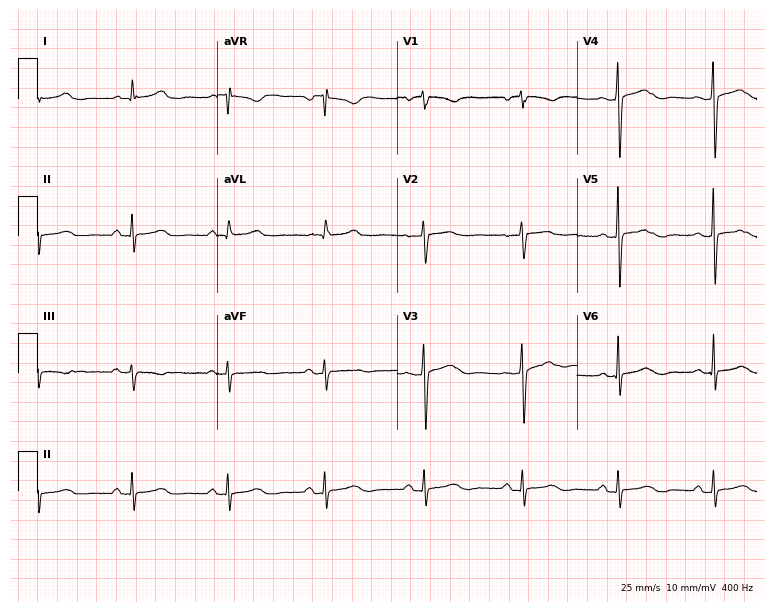
Electrocardiogram, a 49-year-old female patient. Of the six screened findings (first-degree AV block, right bundle branch block, left bundle branch block, sinus bradycardia, atrial fibrillation, sinus tachycardia), none is recorded. Only these six findings were labelled.